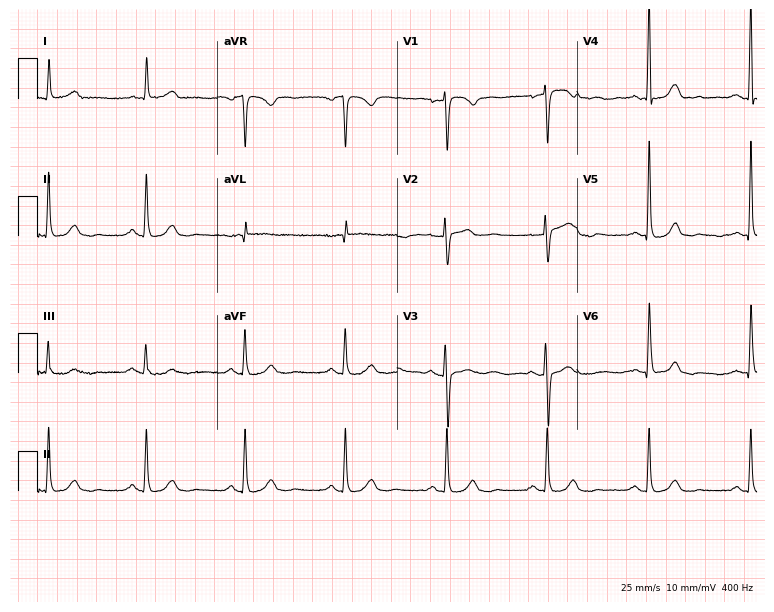
Resting 12-lead electrocardiogram (7.3-second recording at 400 Hz). Patient: a 50-year-old female. Read as a normal ECG.